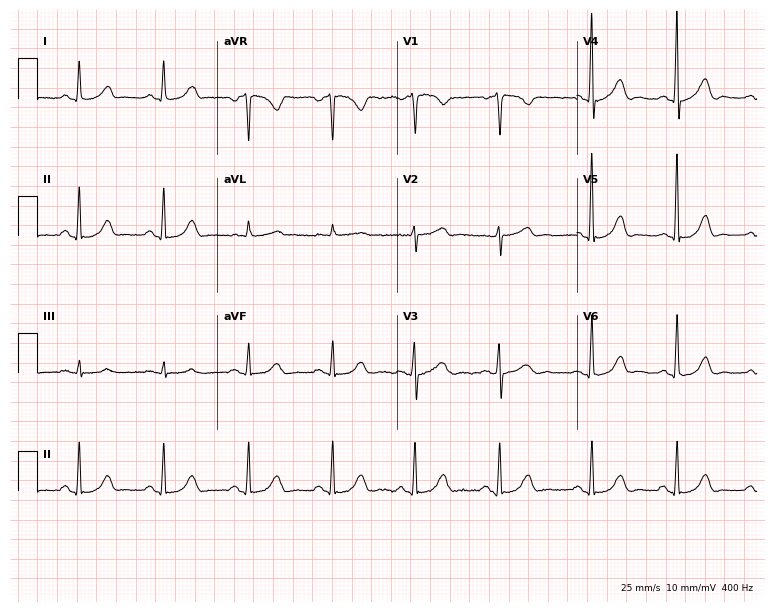
Resting 12-lead electrocardiogram. Patient: a 48-year-old female. Read as a normal ECG.